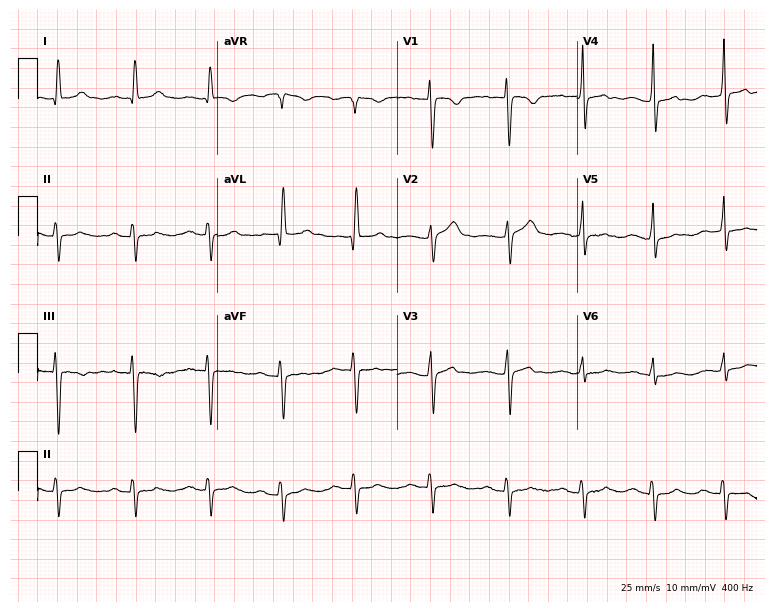
ECG — a 52-year-old man. Screened for six findings — first-degree AV block, right bundle branch block, left bundle branch block, sinus bradycardia, atrial fibrillation, sinus tachycardia — none is recorded.